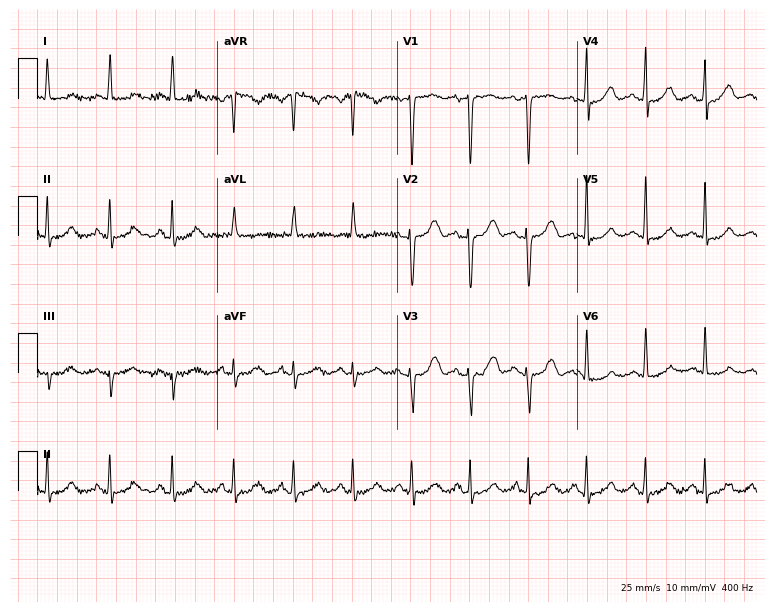
Electrocardiogram, a 50-year-old female patient. Of the six screened findings (first-degree AV block, right bundle branch block, left bundle branch block, sinus bradycardia, atrial fibrillation, sinus tachycardia), none is recorded.